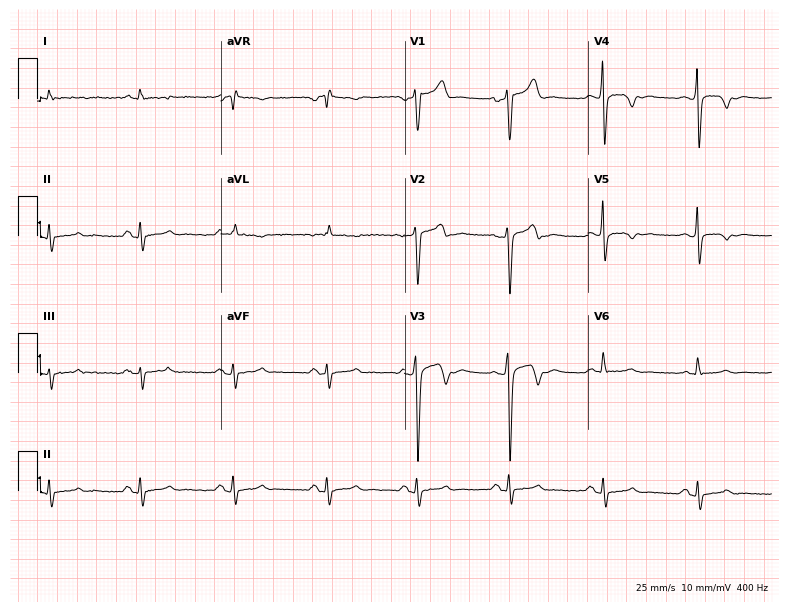
Standard 12-lead ECG recorded from a male patient, 38 years old. None of these six findings is recorded: first-degree AV block, right bundle branch block (RBBB), left bundle branch block (LBBB), sinus bradycardia, atrial fibrillation (AF), sinus tachycardia. Only these six findings were labelled.